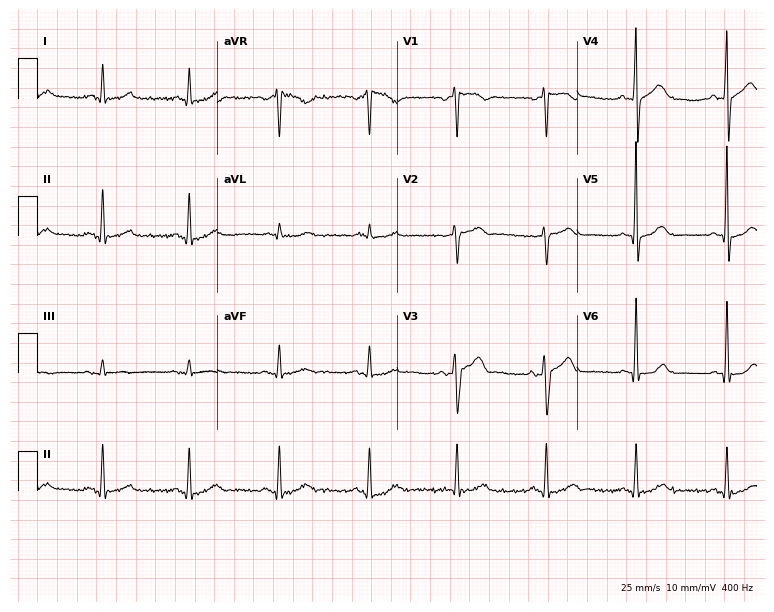
ECG (7.3-second recording at 400 Hz) — a 54-year-old male. Labelled as a normal ECG.